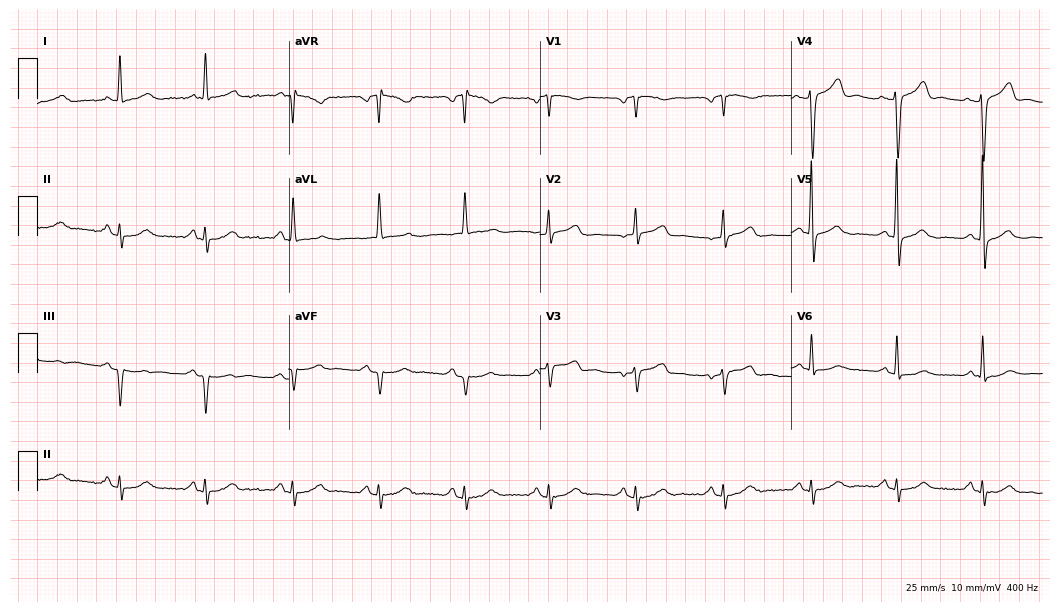
ECG (10.2-second recording at 400 Hz) — a male, 80 years old. Screened for six findings — first-degree AV block, right bundle branch block, left bundle branch block, sinus bradycardia, atrial fibrillation, sinus tachycardia — none is recorded. Only these six findings were labelled.